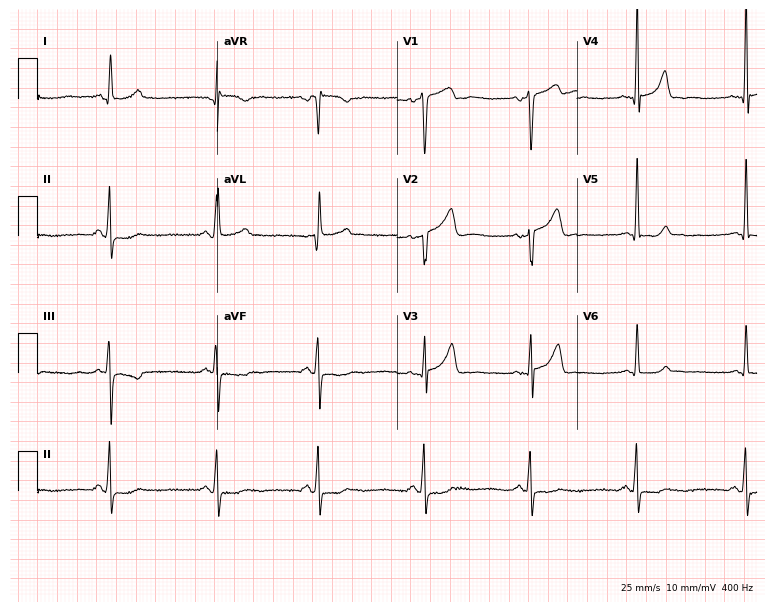
ECG (7.3-second recording at 400 Hz) — a 71-year-old male patient. Screened for six findings — first-degree AV block, right bundle branch block, left bundle branch block, sinus bradycardia, atrial fibrillation, sinus tachycardia — none is recorded. Other findings, if any, are not listed.